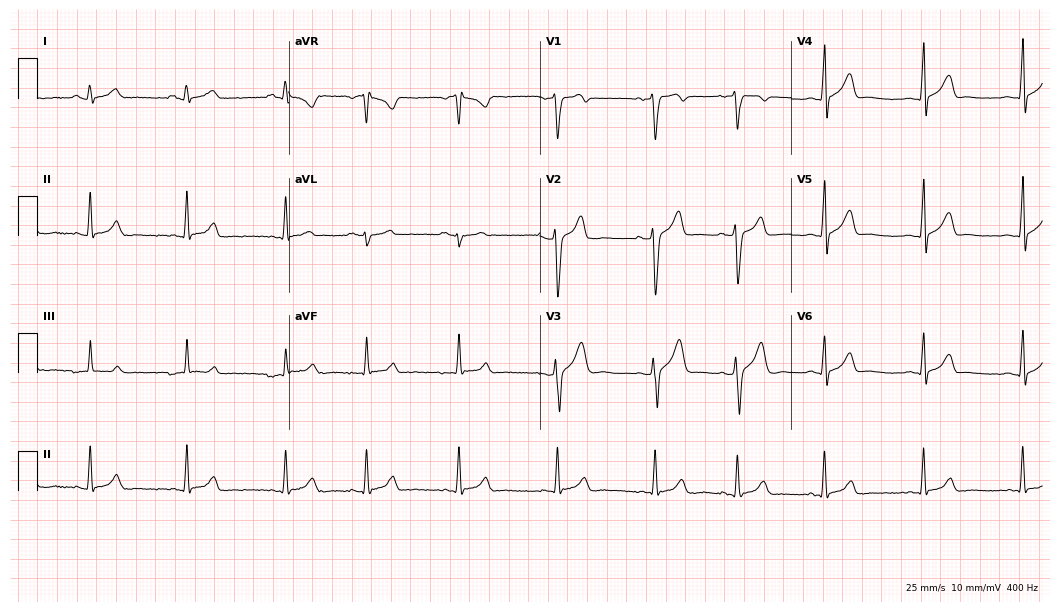
ECG (10.2-second recording at 400 Hz) — a 32-year-old male patient. Labelled as a normal ECG.